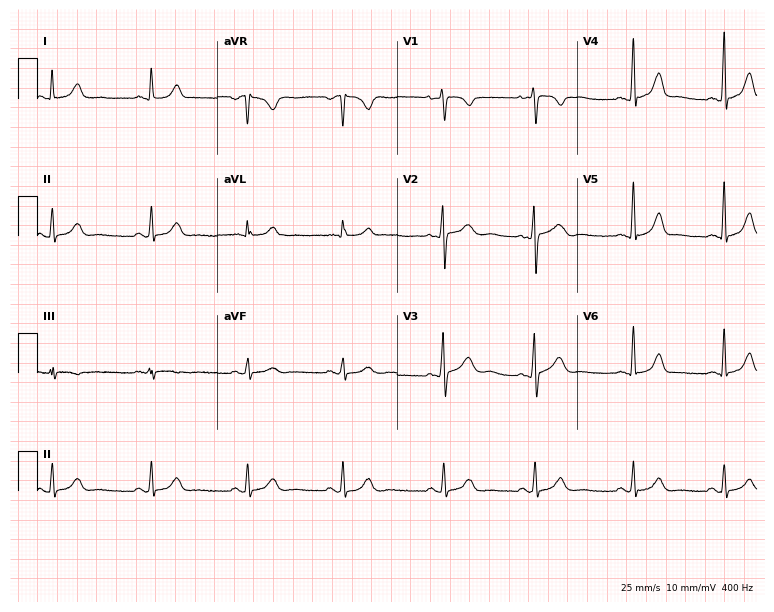
Standard 12-lead ECG recorded from a 39-year-old woman (7.3-second recording at 400 Hz). Read as a normal ECG.